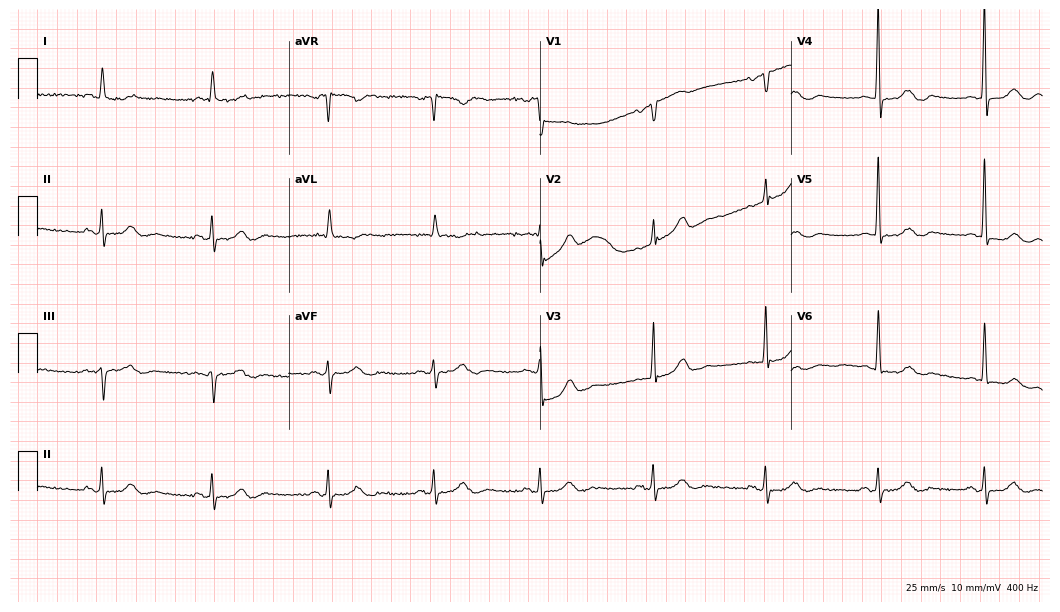
Resting 12-lead electrocardiogram (10.2-second recording at 400 Hz). Patient: a woman, 79 years old. None of these six findings is recorded: first-degree AV block, right bundle branch block, left bundle branch block, sinus bradycardia, atrial fibrillation, sinus tachycardia. Only these six findings were labelled.